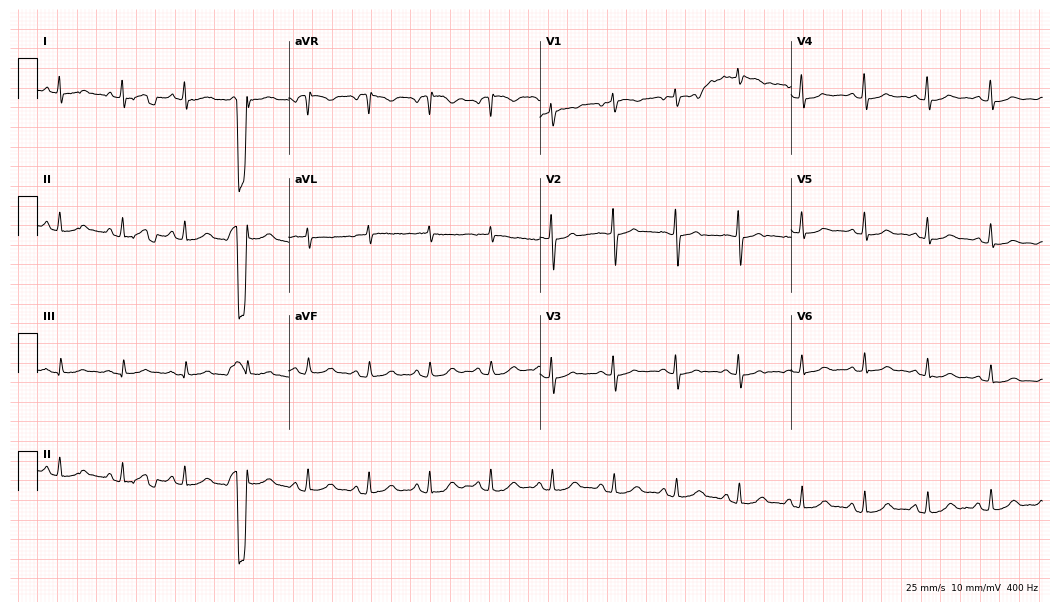
ECG (10.2-second recording at 400 Hz) — a 69-year-old woman. Screened for six findings — first-degree AV block, right bundle branch block, left bundle branch block, sinus bradycardia, atrial fibrillation, sinus tachycardia — none is recorded. Other findings, if any, are not listed.